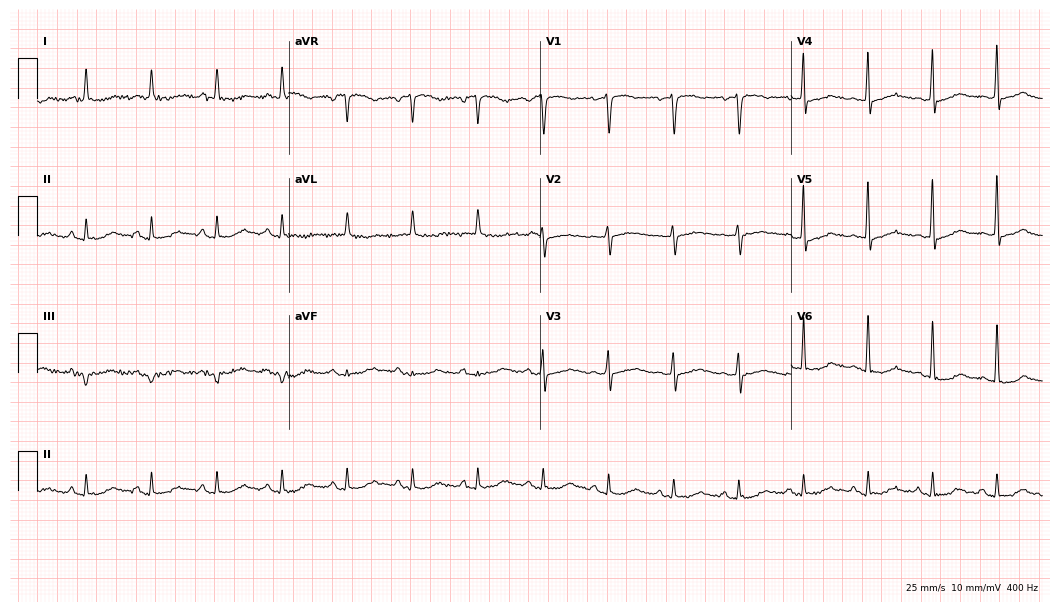
12-lead ECG from a female patient, 72 years old (10.2-second recording at 400 Hz). No first-degree AV block, right bundle branch block, left bundle branch block, sinus bradycardia, atrial fibrillation or sinus tachycardia recorded for this tracing. Only these six findings were labelled.